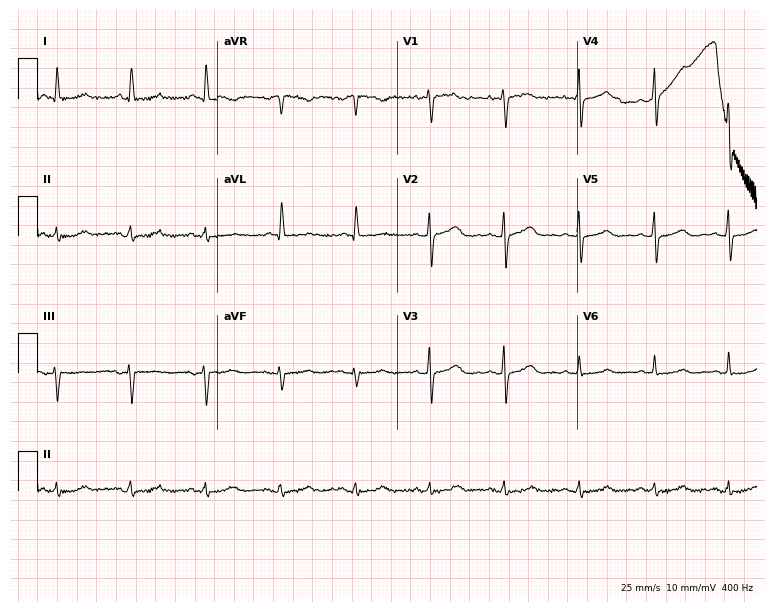
Standard 12-lead ECG recorded from a 70-year-old male patient (7.3-second recording at 400 Hz). None of these six findings is recorded: first-degree AV block, right bundle branch block (RBBB), left bundle branch block (LBBB), sinus bradycardia, atrial fibrillation (AF), sinus tachycardia.